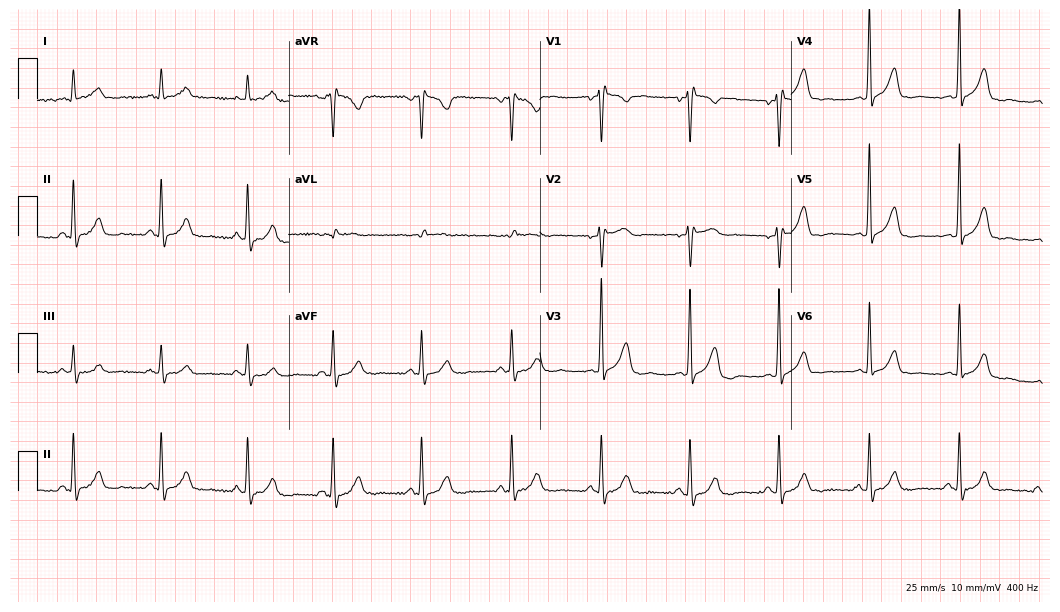
Resting 12-lead electrocardiogram (10.2-second recording at 400 Hz). Patient: a male, 49 years old. Read as a normal ECG.